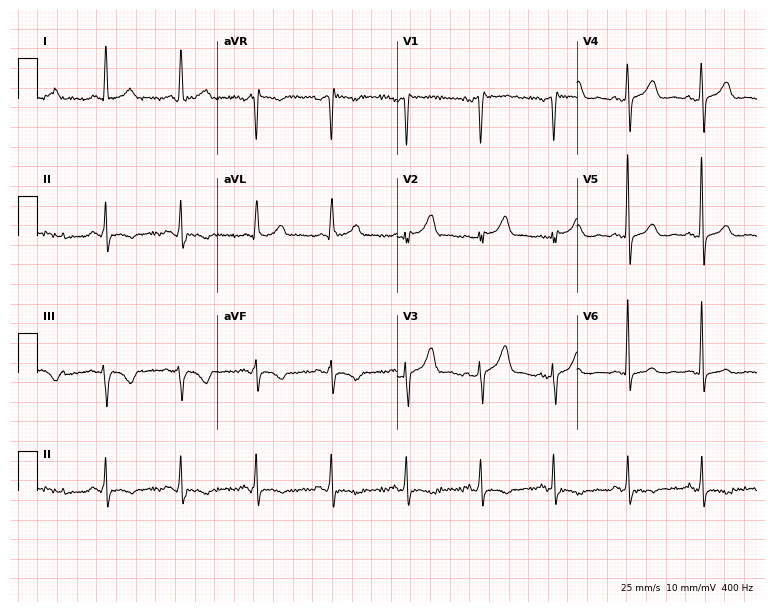
12-lead ECG (7.3-second recording at 400 Hz) from a female, 67 years old. Labelled as a normal ECG.